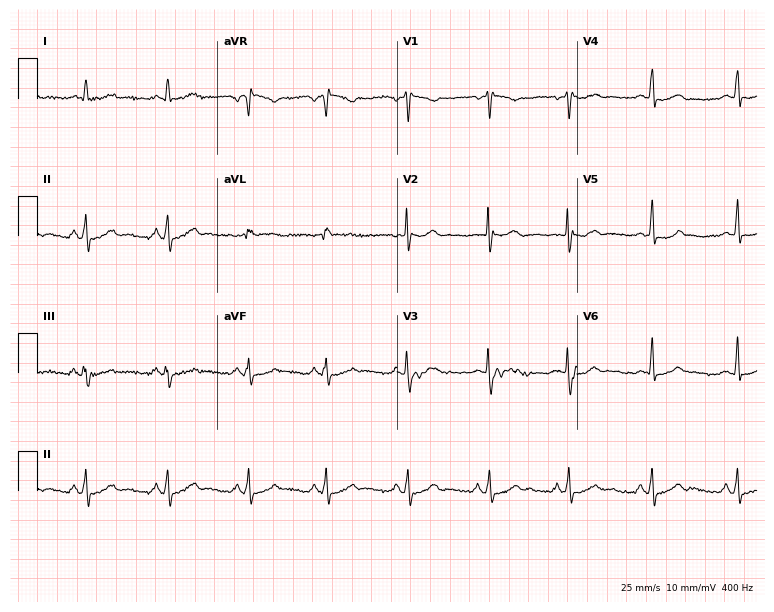
Resting 12-lead electrocardiogram. Patient: a 17-year-old female. None of these six findings is recorded: first-degree AV block, right bundle branch block, left bundle branch block, sinus bradycardia, atrial fibrillation, sinus tachycardia.